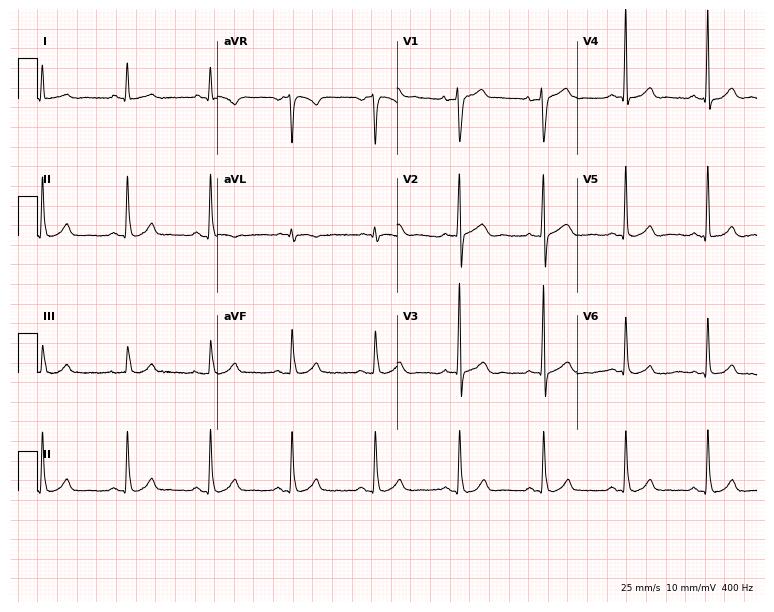
Standard 12-lead ECG recorded from a male, 36 years old (7.3-second recording at 400 Hz). None of these six findings is recorded: first-degree AV block, right bundle branch block (RBBB), left bundle branch block (LBBB), sinus bradycardia, atrial fibrillation (AF), sinus tachycardia. Findings outside these six are not listed.